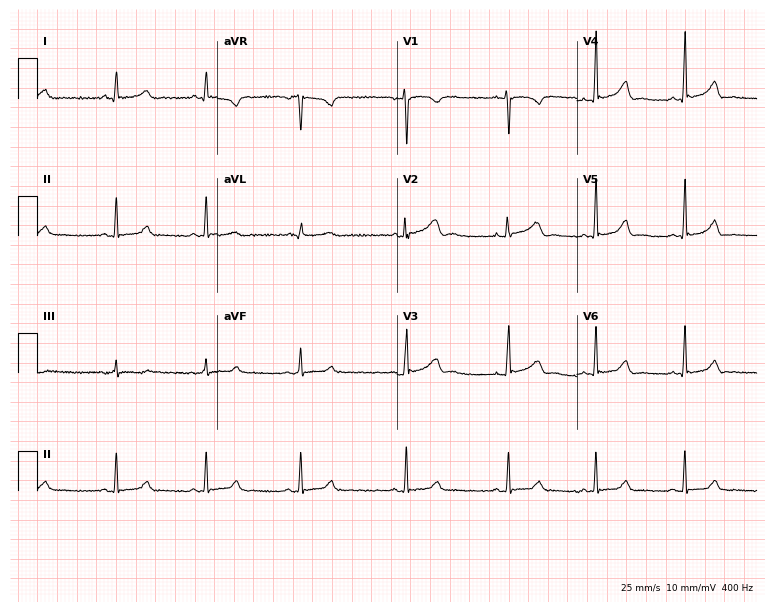
Resting 12-lead electrocardiogram. Patient: a 24-year-old female. None of these six findings is recorded: first-degree AV block, right bundle branch block (RBBB), left bundle branch block (LBBB), sinus bradycardia, atrial fibrillation (AF), sinus tachycardia.